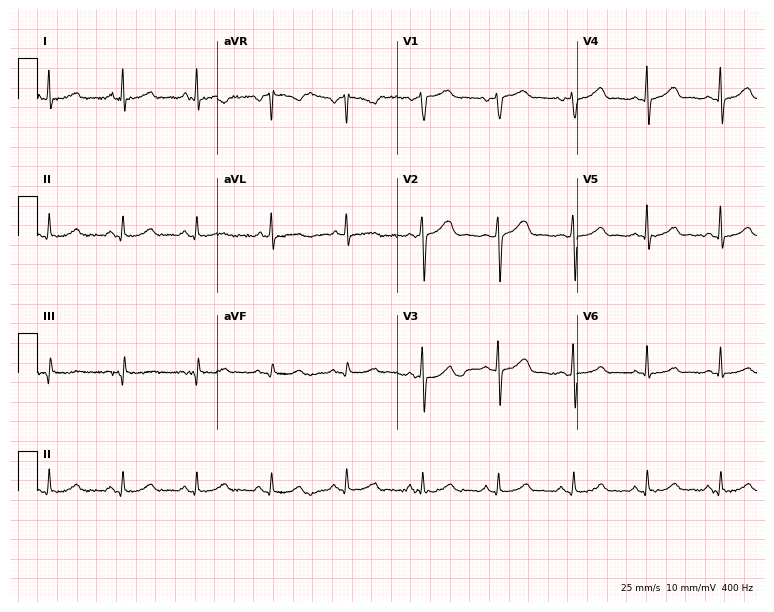
Standard 12-lead ECG recorded from a female patient, 68 years old. Read as a normal ECG.